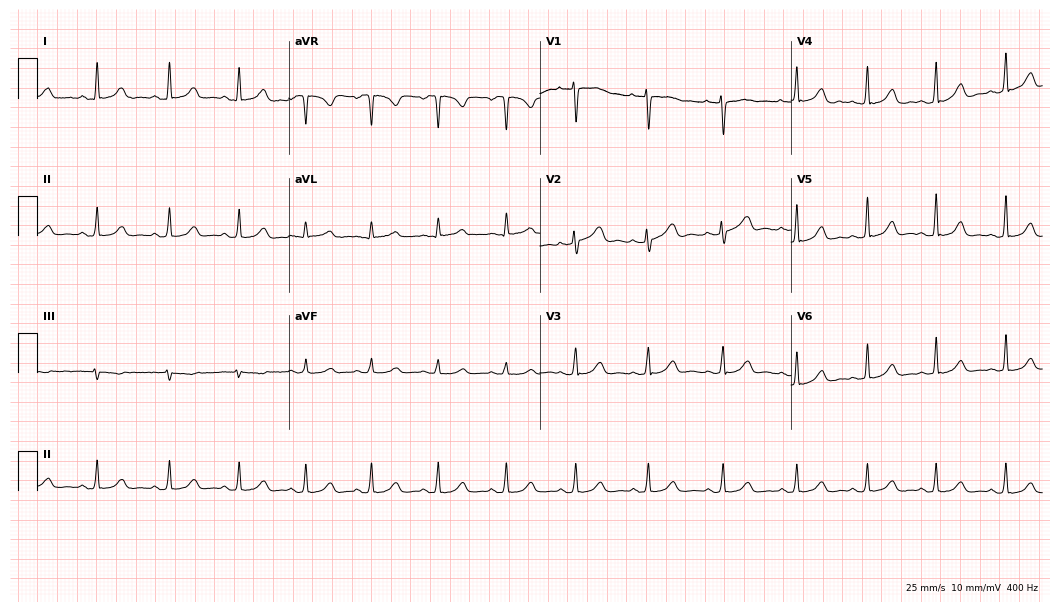
Resting 12-lead electrocardiogram (10.2-second recording at 400 Hz). Patient: a 32-year-old woman. Read as a normal ECG.